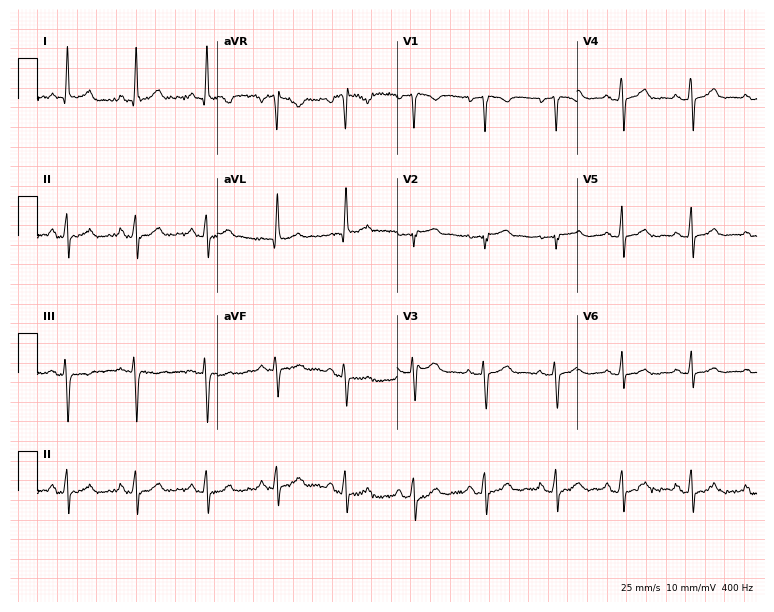
12-lead ECG from a 44-year-old female patient. Screened for six findings — first-degree AV block, right bundle branch block, left bundle branch block, sinus bradycardia, atrial fibrillation, sinus tachycardia — none is recorded.